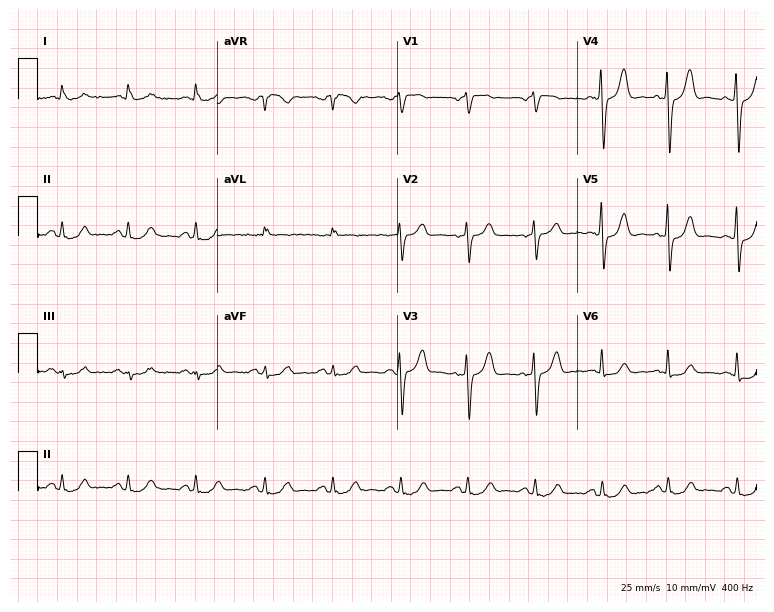
12-lead ECG from an 81-year-old male patient (7.3-second recording at 400 Hz). No first-degree AV block, right bundle branch block (RBBB), left bundle branch block (LBBB), sinus bradycardia, atrial fibrillation (AF) or sinus tachycardia recorded for this tracing. Other findings, if any, are not listed.